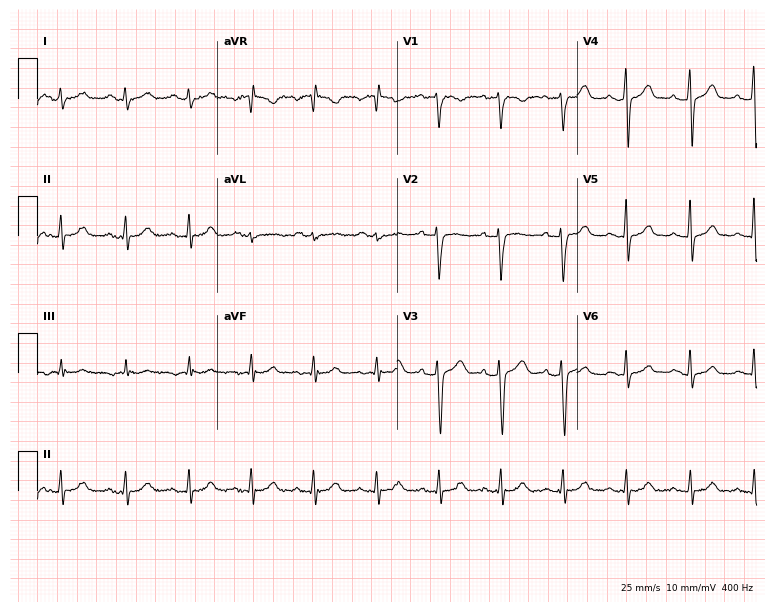
ECG (7.3-second recording at 400 Hz) — a 39-year-old female patient. Labelled as a normal ECG.